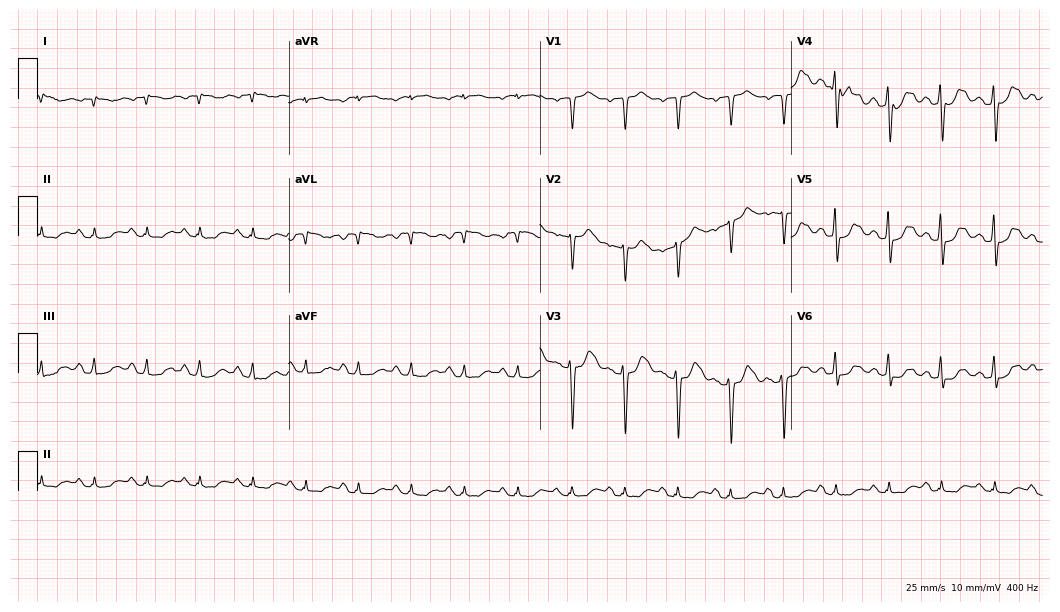
ECG — a female patient, 70 years old. Screened for six findings — first-degree AV block, right bundle branch block, left bundle branch block, sinus bradycardia, atrial fibrillation, sinus tachycardia — none is recorded.